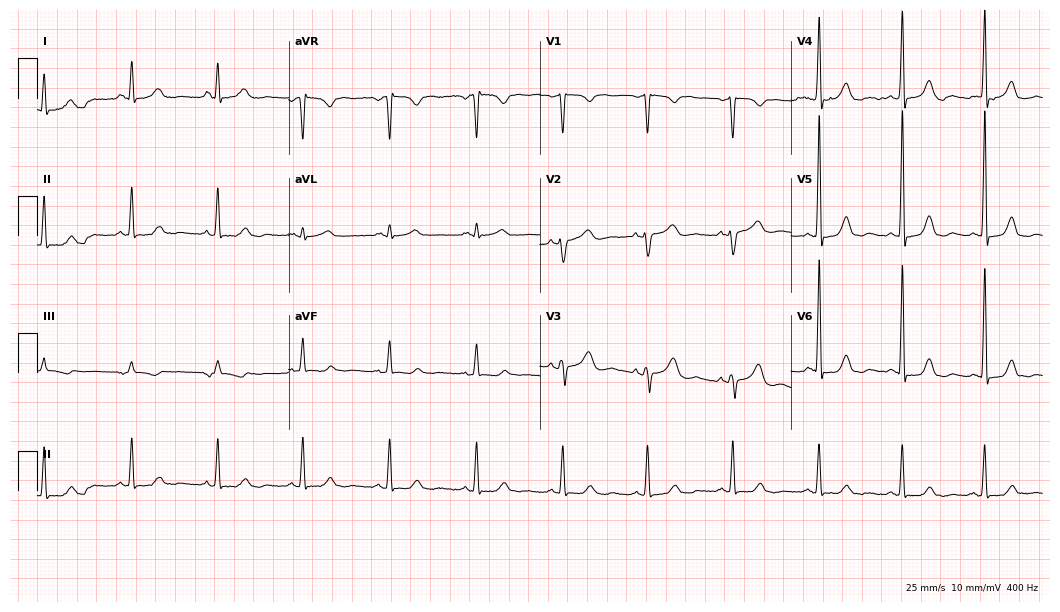
Resting 12-lead electrocardiogram (10.2-second recording at 400 Hz). Patient: a female, 53 years old. Read as a normal ECG.